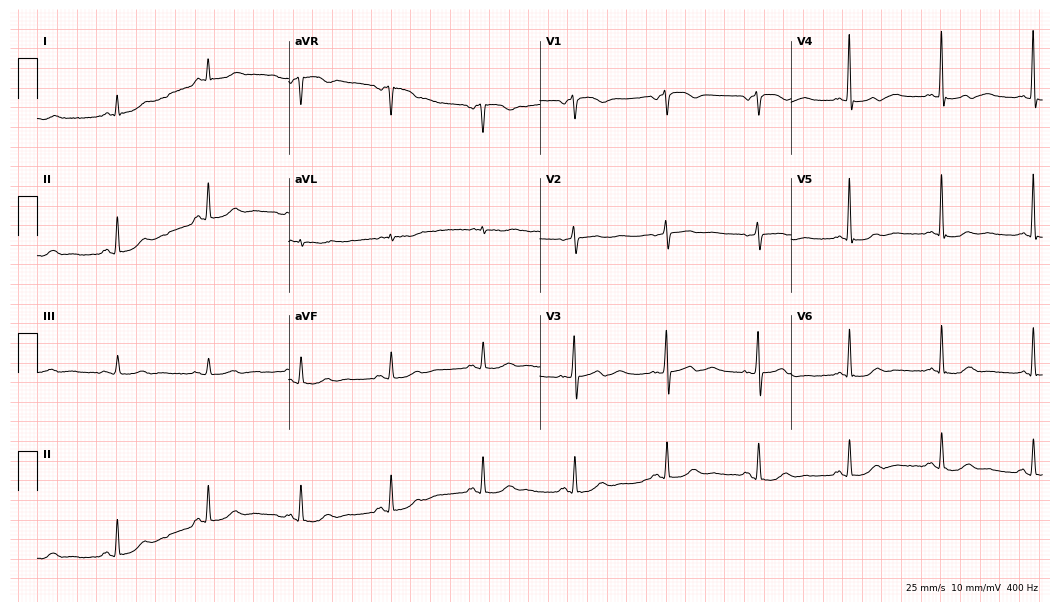
12-lead ECG (10.2-second recording at 400 Hz) from a male, 77 years old. Screened for six findings — first-degree AV block, right bundle branch block, left bundle branch block, sinus bradycardia, atrial fibrillation, sinus tachycardia — none is recorded.